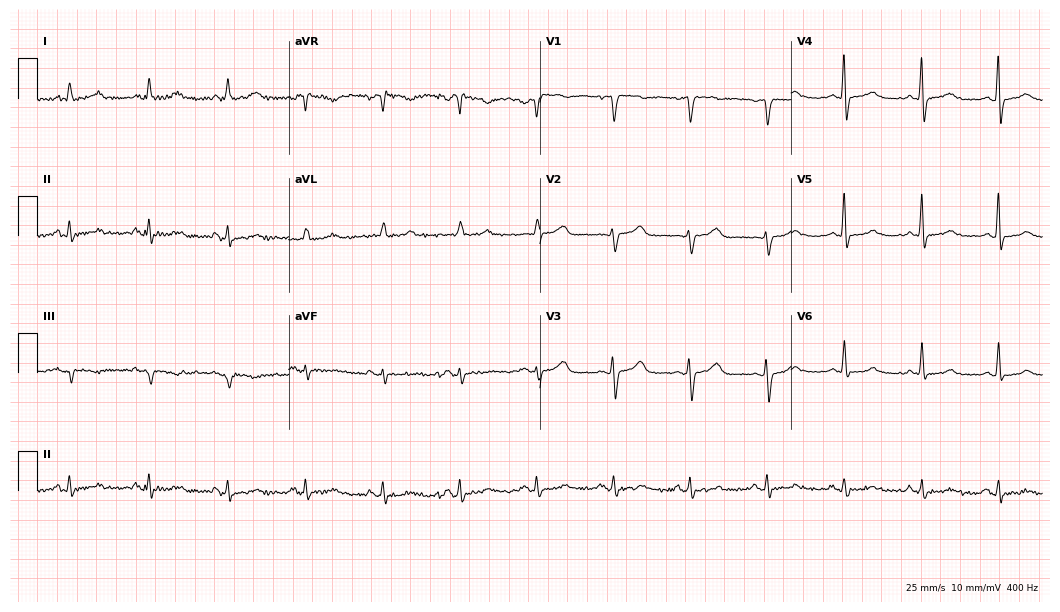
ECG — a 69-year-old woman. Screened for six findings — first-degree AV block, right bundle branch block, left bundle branch block, sinus bradycardia, atrial fibrillation, sinus tachycardia — none is recorded.